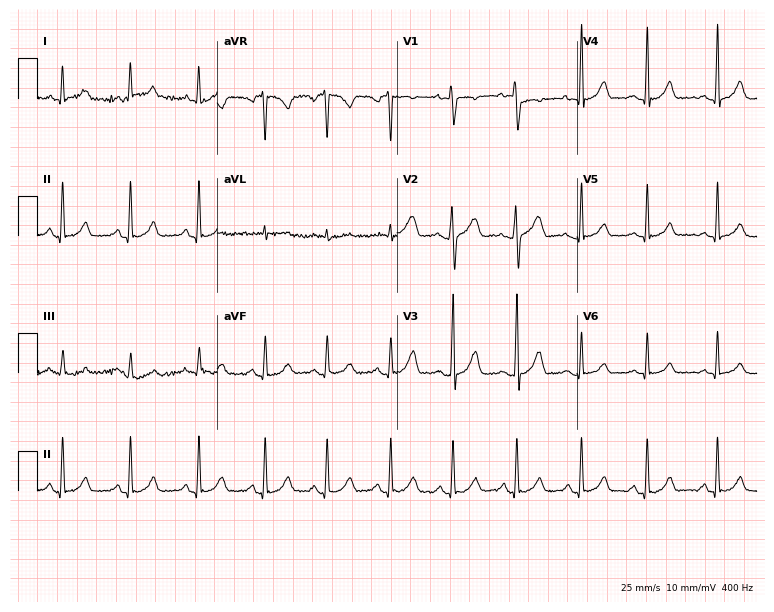
Standard 12-lead ECG recorded from a 27-year-old female patient. Read as a normal ECG.